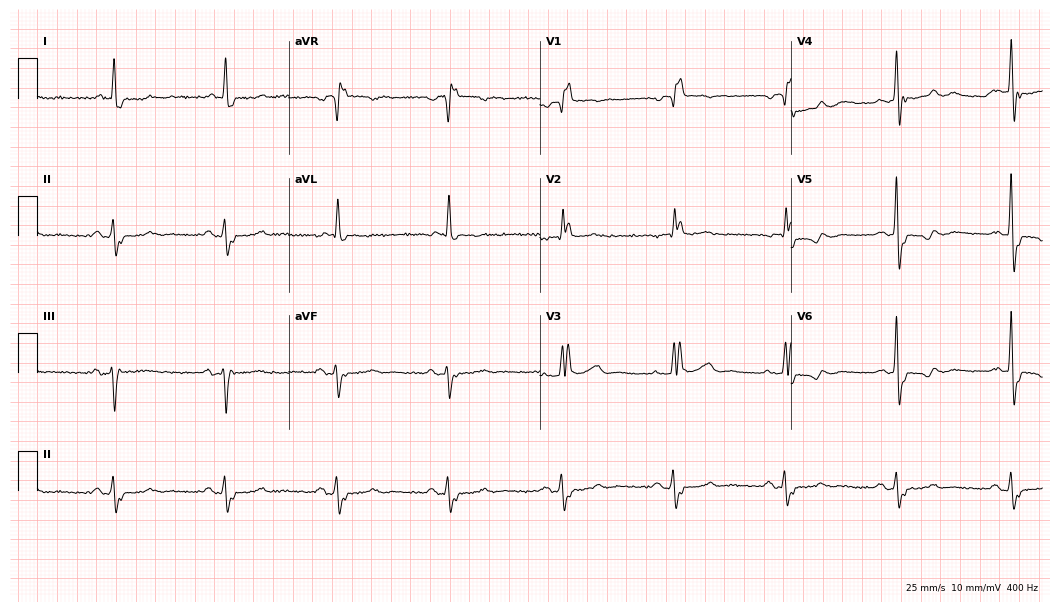
Resting 12-lead electrocardiogram. Patient: a male, 85 years old. The tracing shows right bundle branch block.